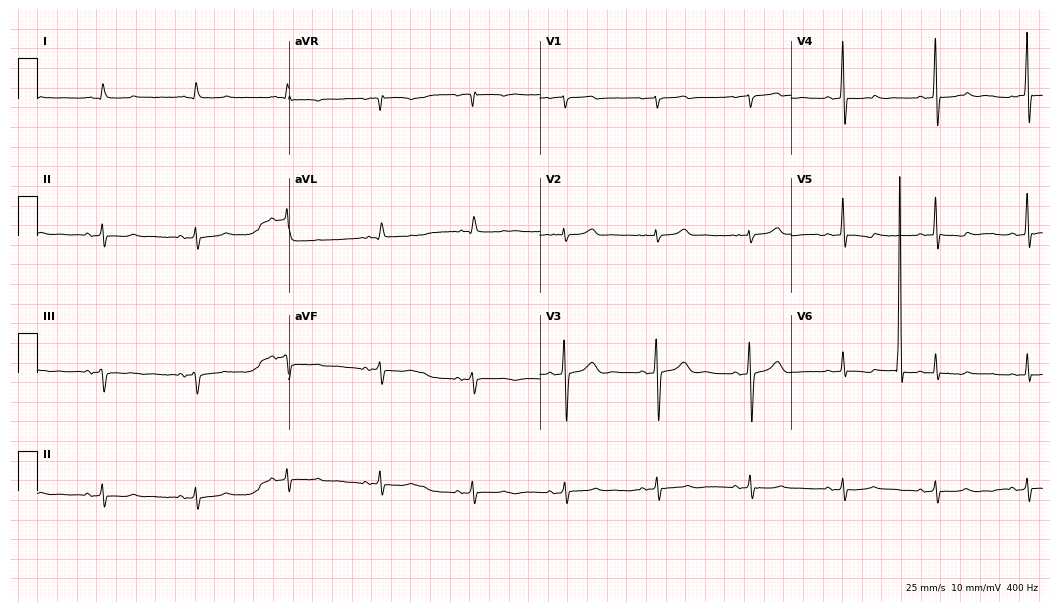
Electrocardiogram (10.2-second recording at 400 Hz), a male, 65 years old. Of the six screened findings (first-degree AV block, right bundle branch block, left bundle branch block, sinus bradycardia, atrial fibrillation, sinus tachycardia), none is recorded.